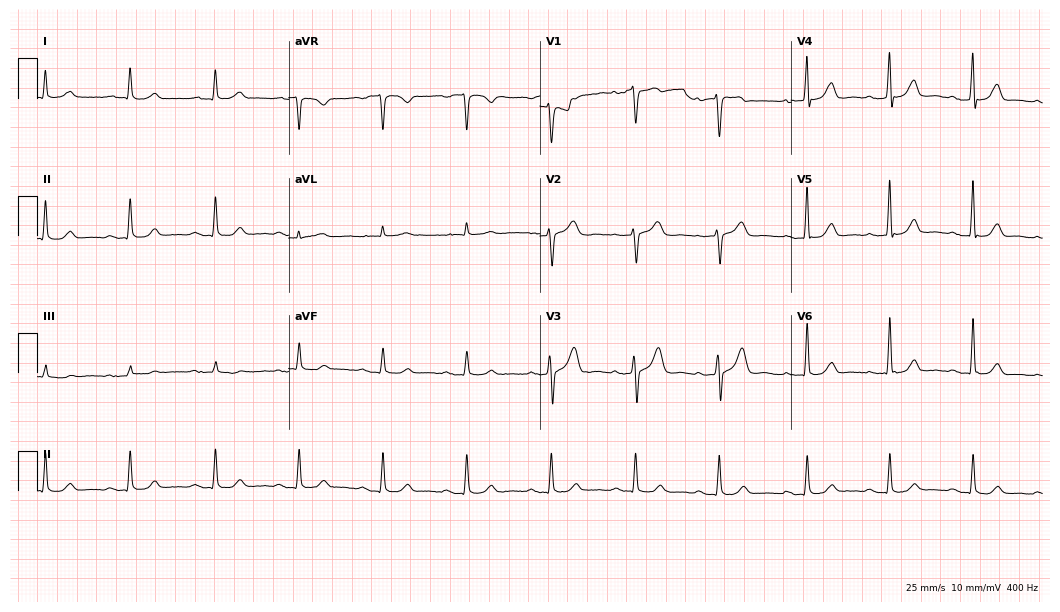
12-lead ECG from a male, 73 years old. Recorded interpretation: within normal limits.